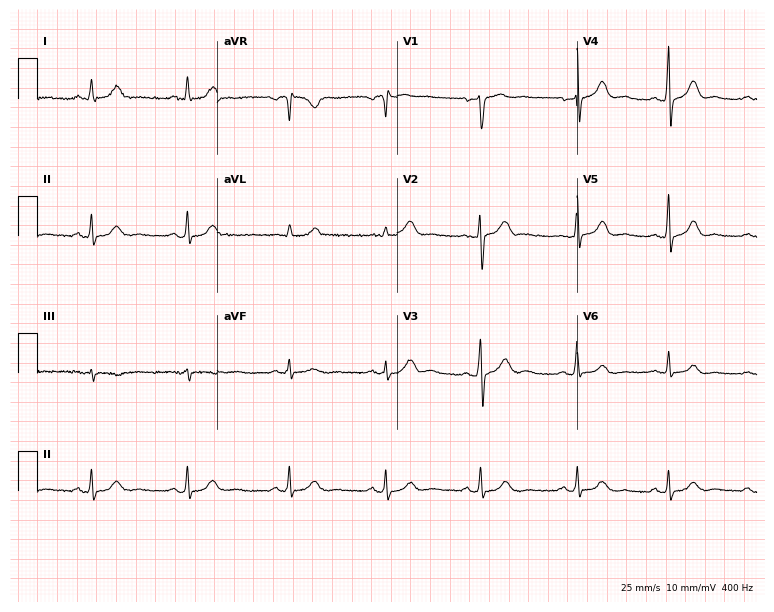
Electrocardiogram, a 55-year-old man. Of the six screened findings (first-degree AV block, right bundle branch block, left bundle branch block, sinus bradycardia, atrial fibrillation, sinus tachycardia), none is recorded. Only these six findings were labelled.